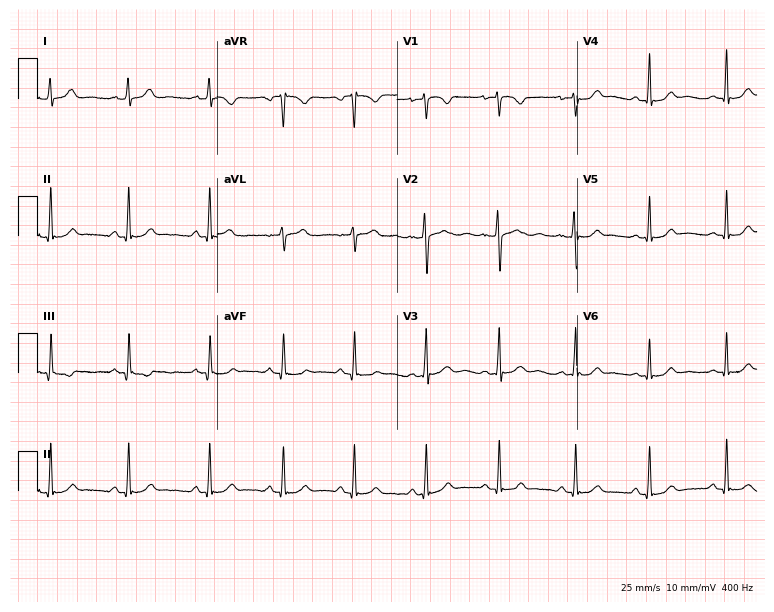
Electrocardiogram, a female, 19 years old. Overall reading on record: normal ECG.